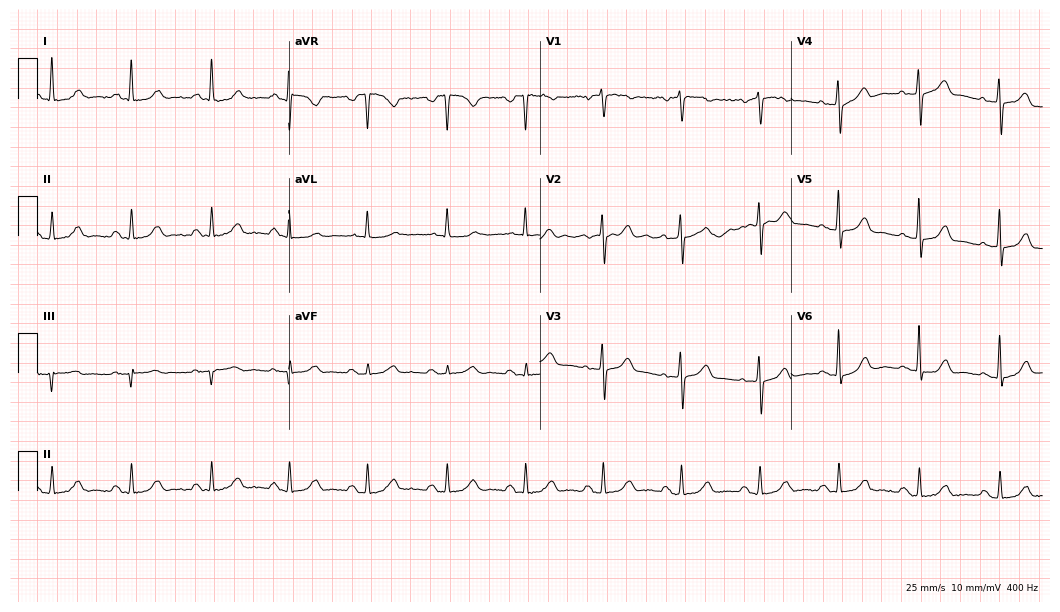
12-lead ECG (10.2-second recording at 400 Hz) from a 70-year-old female. Labelled as a normal ECG.